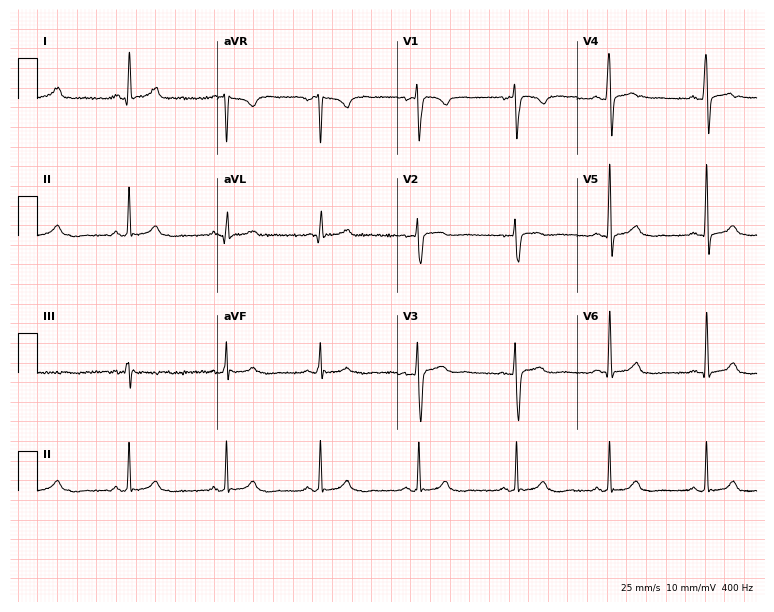
Resting 12-lead electrocardiogram. Patient: a 37-year-old woman. Read as a normal ECG.